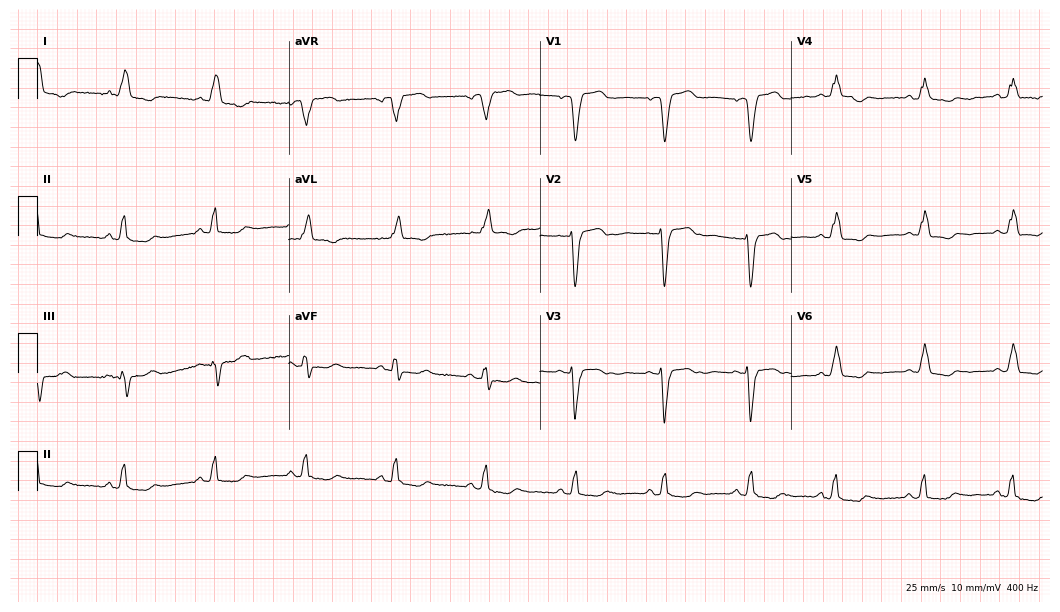
Electrocardiogram (10.2-second recording at 400 Hz), a 79-year-old woman. Interpretation includes left bundle branch block (LBBB).